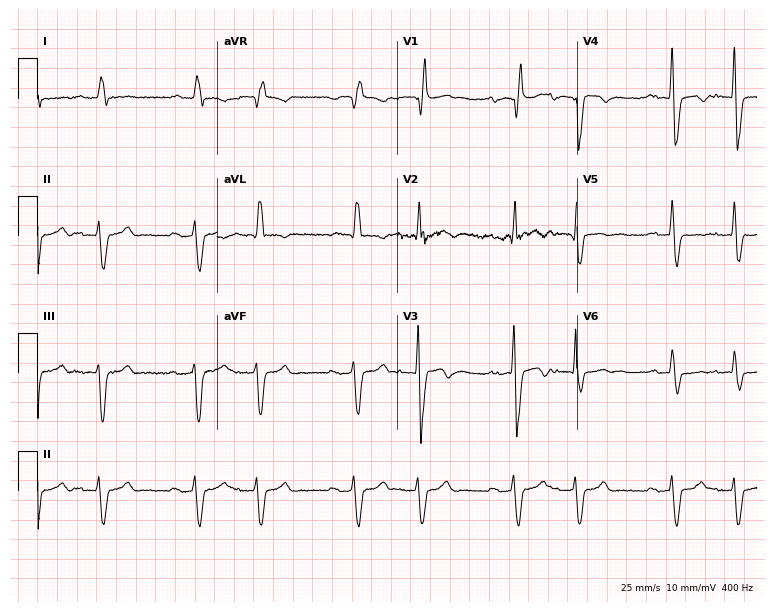
12-lead ECG from a 78-year-old man. Screened for six findings — first-degree AV block, right bundle branch block, left bundle branch block, sinus bradycardia, atrial fibrillation, sinus tachycardia — none is recorded.